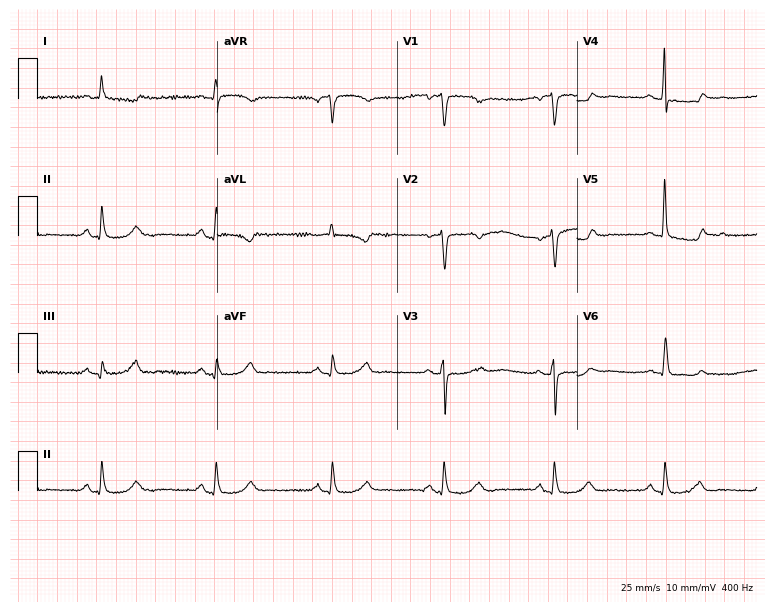
12-lead ECG from a 75-year-old female. Screened for six findings — first-degree AV block, right bundle branch block (RBBB), left bundle branch block (LBBB), sinus bradycardia, atrial fibrillation (AF), sinus tachycardia — none is recorded. Findings outside these six are not listed.